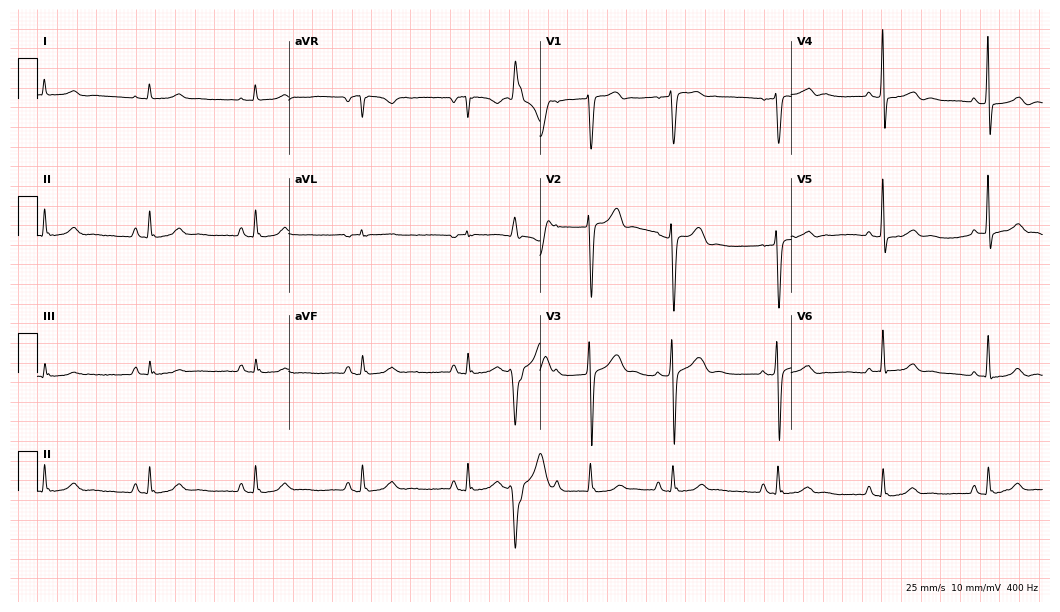
Resting 12-lead electrocardiogram (10.2-second recording at 400 Hz). Patient: a male, 60 years old. None of these six findings is recorded: first-degree AV block, right bundle branch block (RBBB), left bundle branch block (LBBB), sinus bradycardia, atrial fibrillation (AF), sinus tachycardia. Only these six findings were labelled.